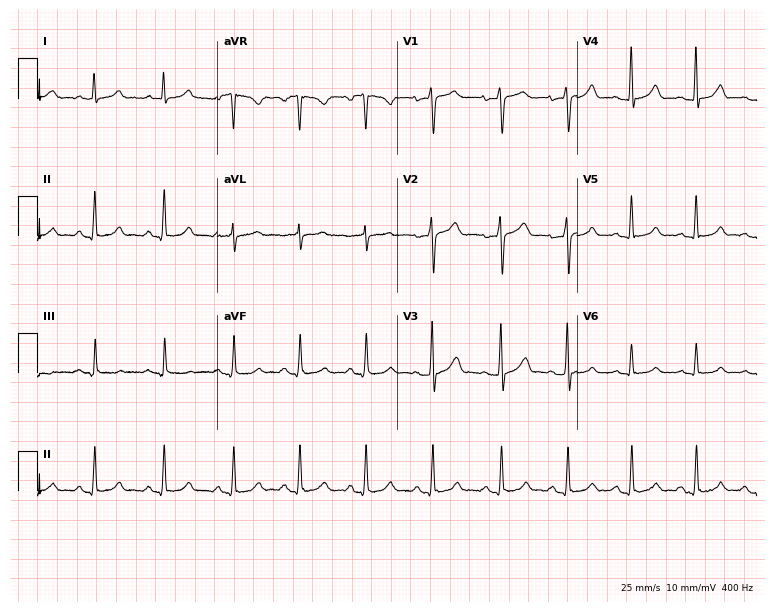
12-lead ECG from a female, 34 years old. Recorded interpretation: within normal limits.